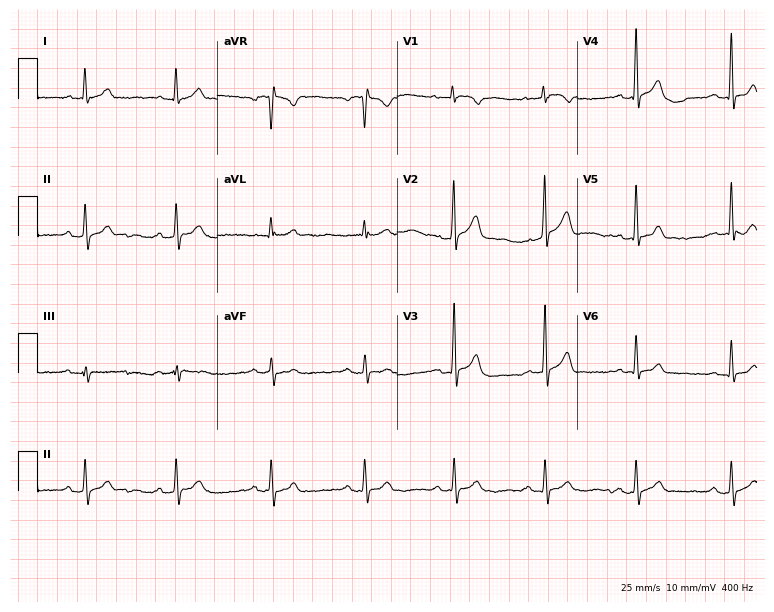
12-lead ECG (7.3-second recording at 400 Hz) from a 42-year-old male patient. Labelled as a normal ECG.